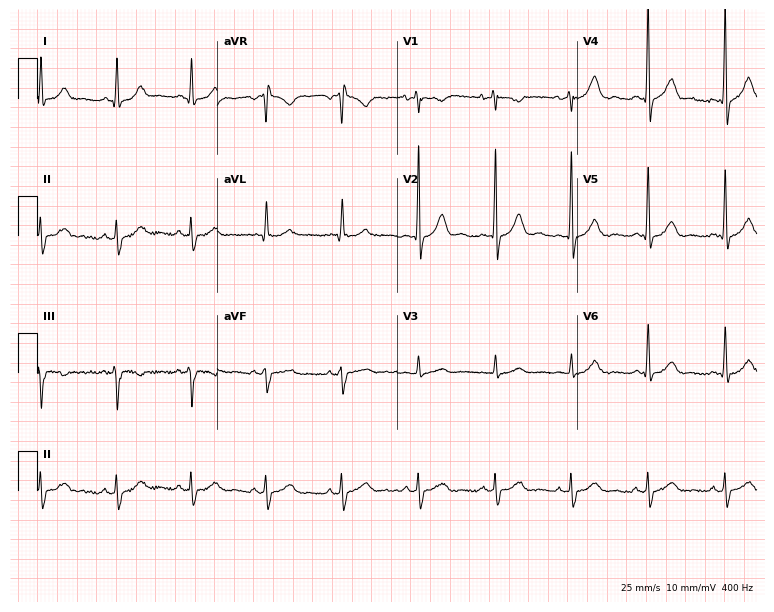
Standard 12-lead ECG recorded from a man, 43 years old. Read as a normal ECG.